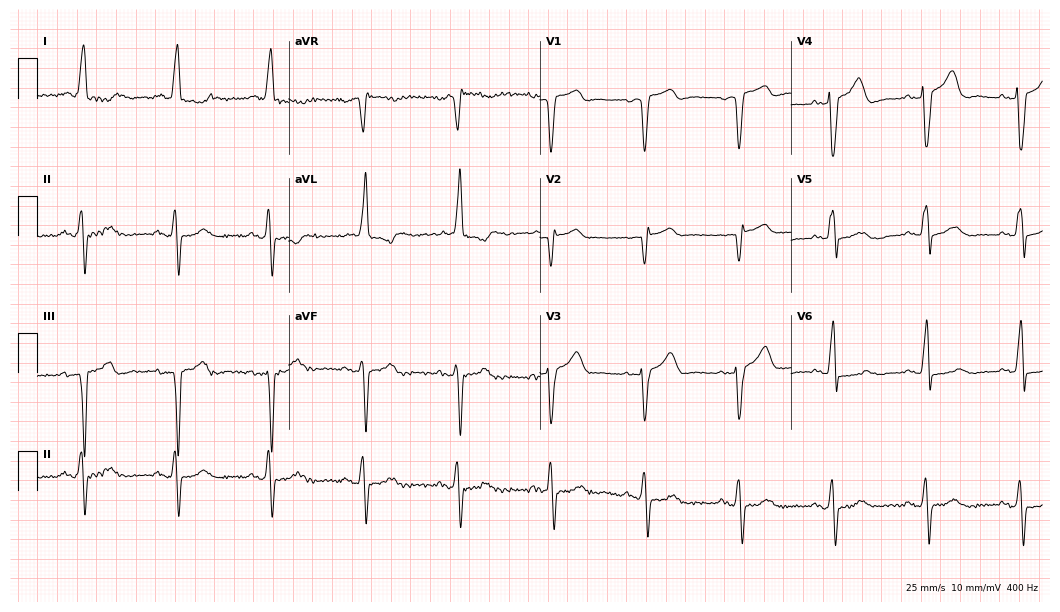
12-lead ECG from a male patient, 79 years old. Findings include left bundle branch block (LBBB).